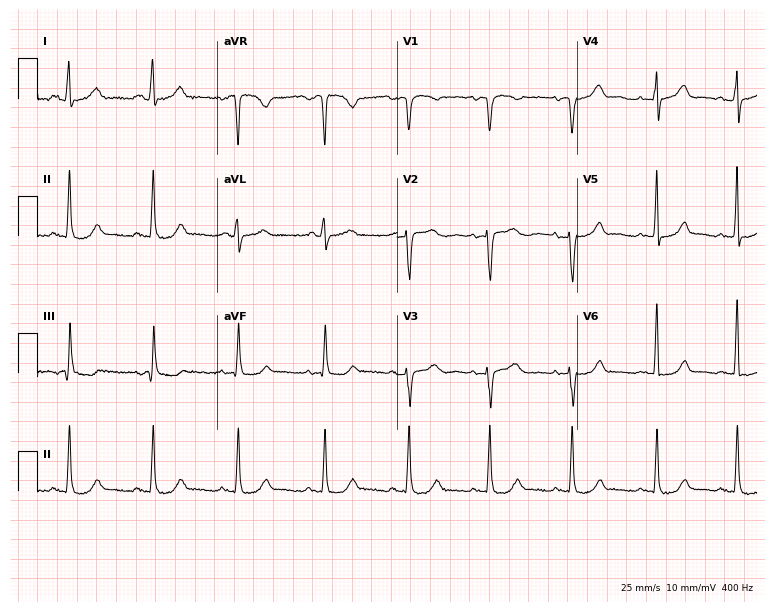
12-lead ECG from a female, 59 years old. Screened for six findings — first-degree AV block, right bundle branch block, left bundle branch block, sinus bradycardia, atrial fibrillation, sinus tachycardia — none is recorded. Only these six findings were labelled.